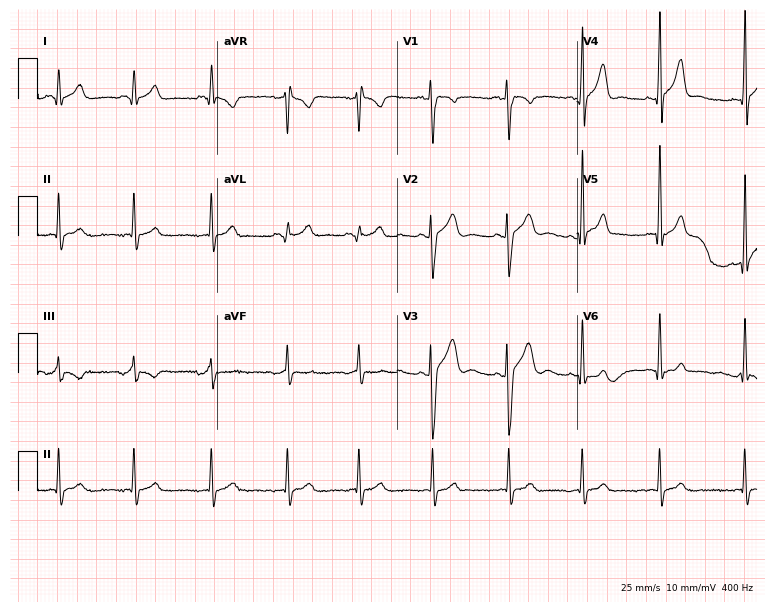
12-lead ECG from a 22-year-old male. No first-degree AV block, right bundle branch block (RBBB), left bundle branch block (LBBB), sinus bradycardia, atrial fibrillation (AF) or sinus tachycardia recorded for this tracing. Only these six findings were labelled.